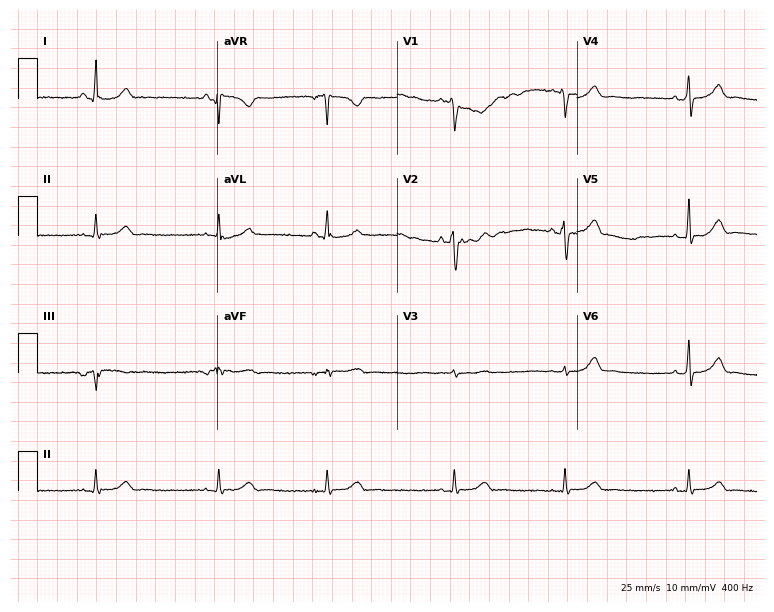
Electrocardiogram, a male patient, 23 years old. Overall reading on record: normal ECG.